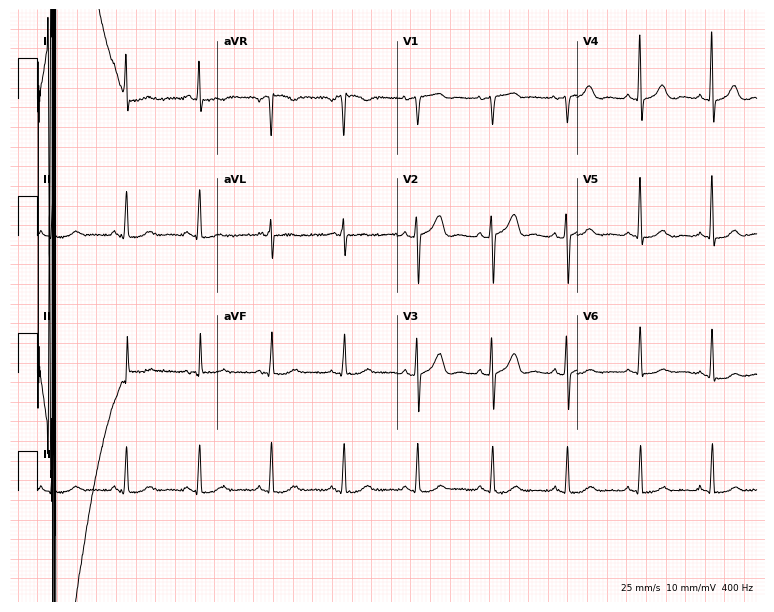
12-lead ECG from a female patient, 56 years old. Screened for six findings — first-degree AV block, right bundle branch block, left bundle branch block, sinus bradycardia, atrial fibrillation, sinus tachycardia — none is recorded.